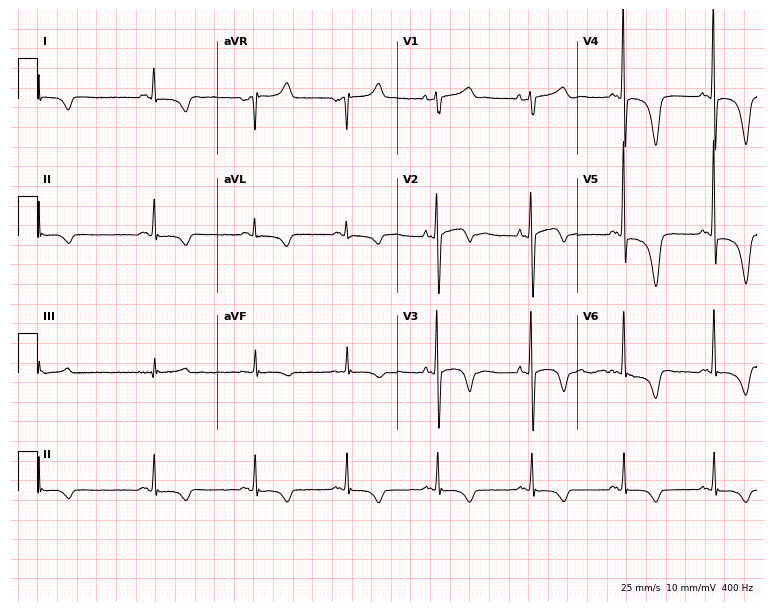
Electrocardiogram (7.3-second recording at 400 Hz), a woman, 59 years old. Of the six screened findings (first-degree AV block, right bundle branch block, left bundle branch block, sinus bradycardia, atrial fibrillation, sinus tachycardia), none is recorded. Only these six findings were labelled.